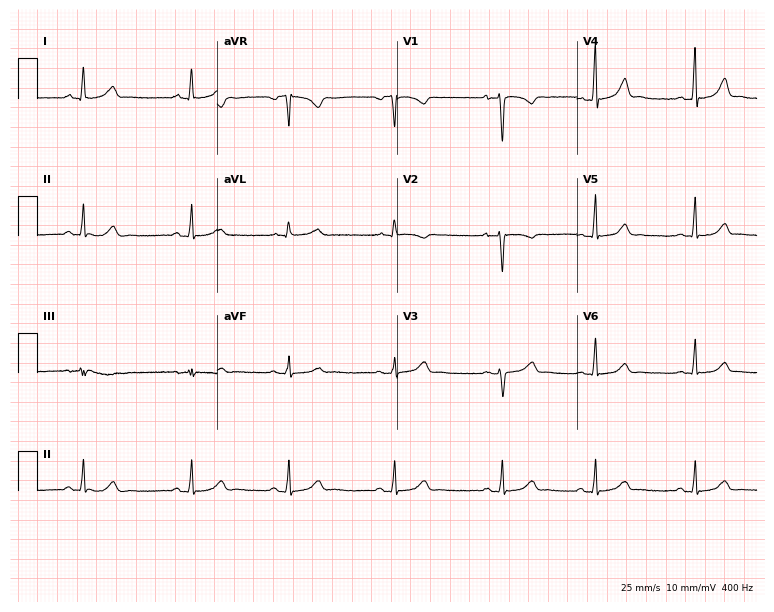
12-lead ECG from a male, 32 years old (7.3-second recording at 400 Hz). Recorded interpretation: within normal limits.